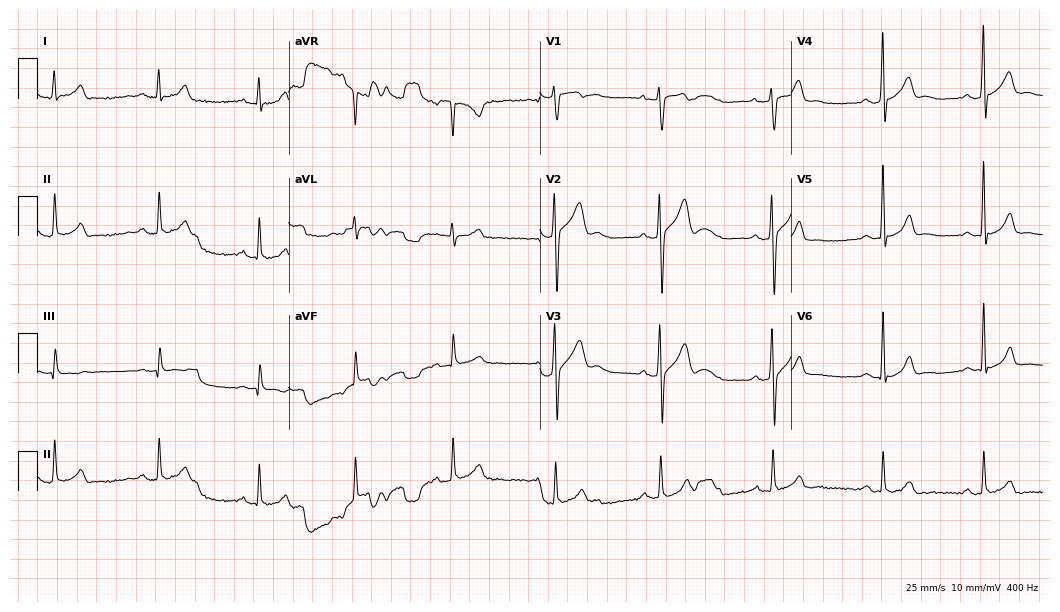
12-lead ECG (10.2-second recording at 400 Hz) from a 21-year-old male patient. Labelled as a normal ECG.